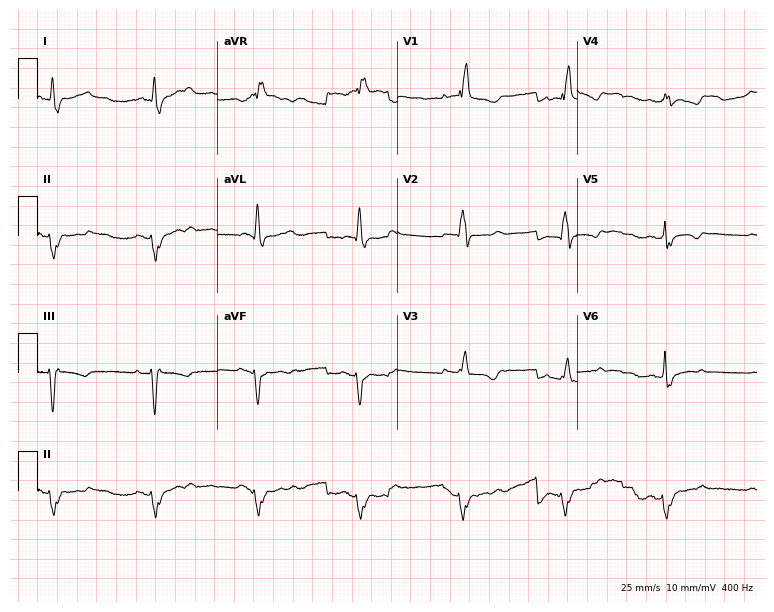
Resting 12-lead electrocardiogram. Patient: a woman, 74 years old. The tracing shows first-degree AV block, right bundle branch block.